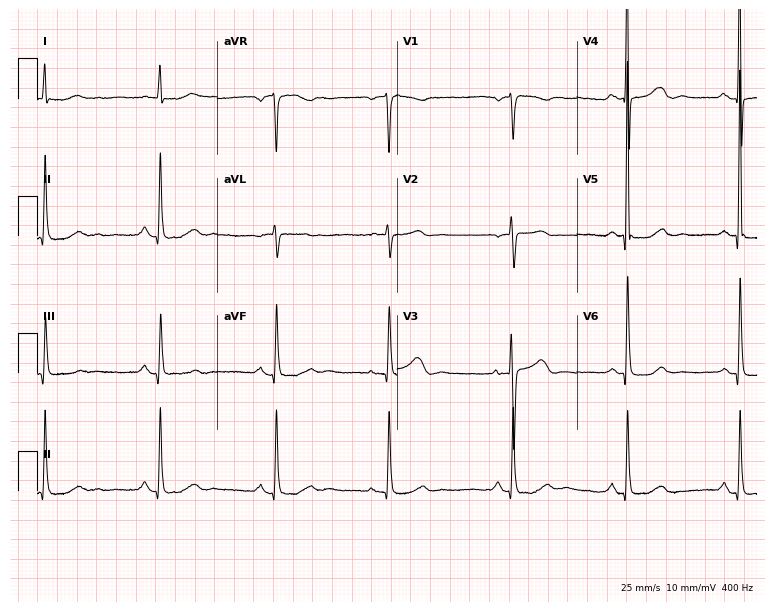
Electrocardiogram, a female, 79 years old. Of the six screened findings (first-degree AV block, right bundle branch block, left bundle branch block, sinus bradycardia, atrial fibrillation, sinus tachycardia), none is recorded. Only these six findings were labelled.